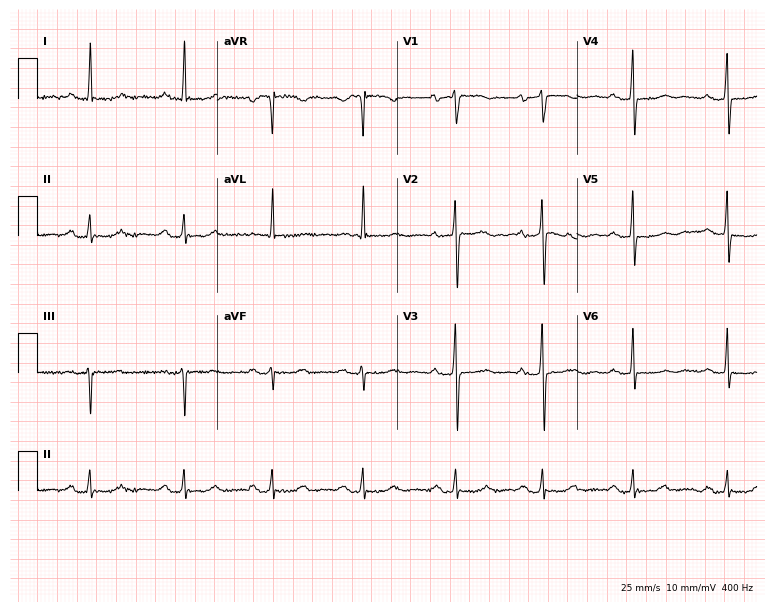
12-lead ECG from a 58-year-old woman. Labelled as a normal ECG.